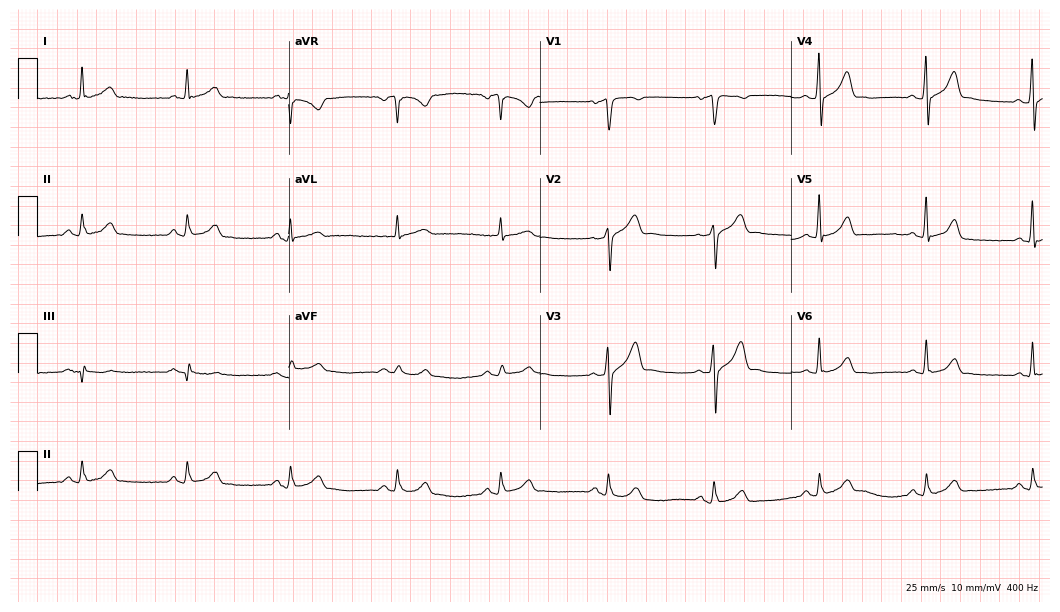
12-lead ECG from a 60-year-old male patient. Labelled as a normal ECG.